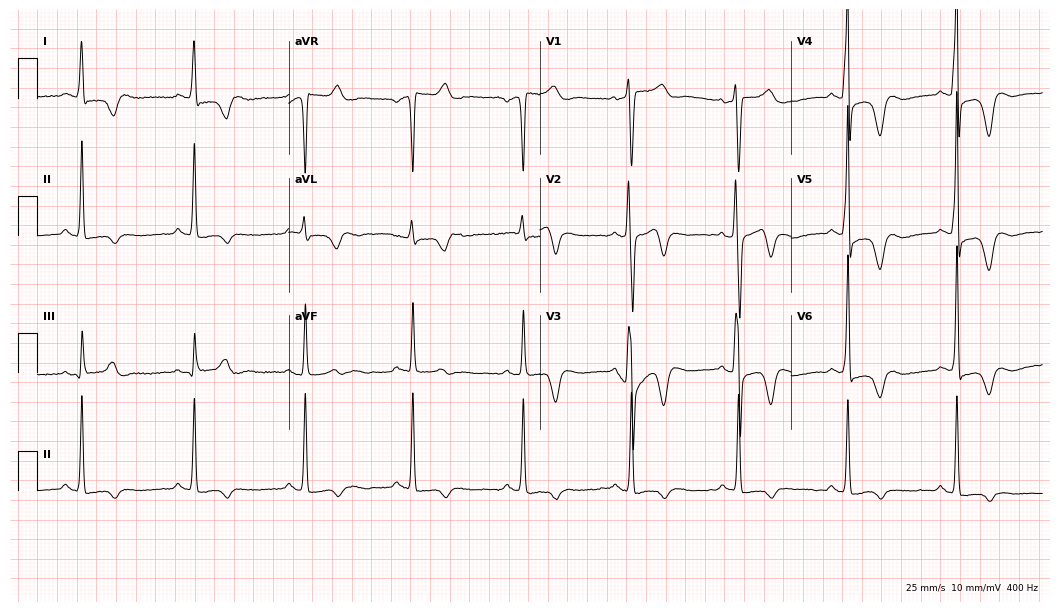
Standard 12-lead ECG recorded from a female patient, 68 years old (10.2-second recording at 400 Hz). None of these six findings is recorded: first-degree AV block, right bundle branch block, left bundle branch block, sinus bradycardia, atrial fibrillation, sinus tachycardia.